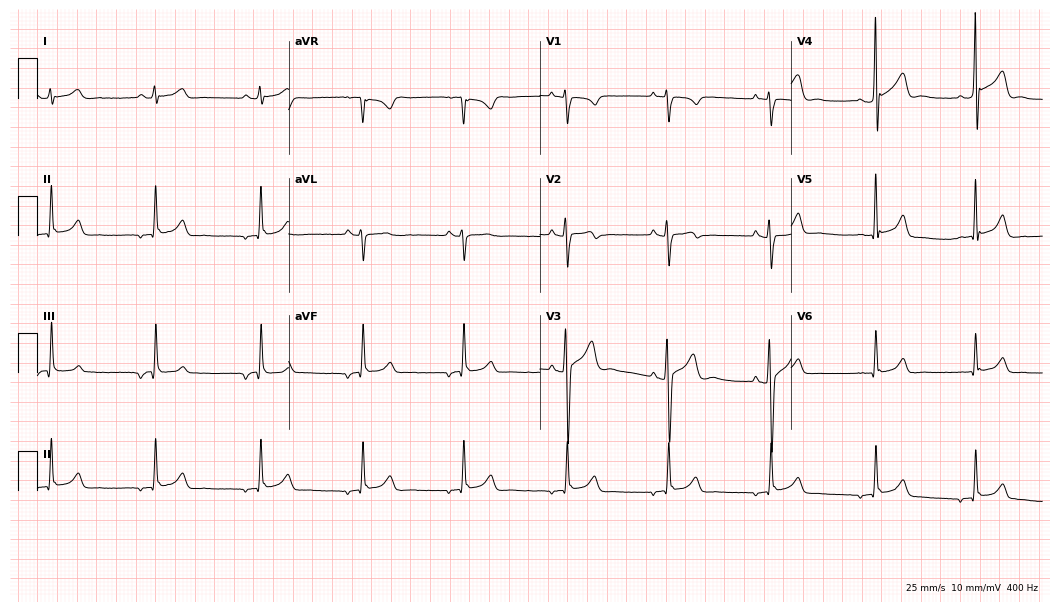
Resting 12-lead electrocardiogram (10.2-second recording at 400 Hz). Patient: a male, 28 years old. None of these six findings is recorded: first-degree AV block, right bundle branch block, left bundle branch block, sinus bradycardia, atrial fibrillation, sinus tachycardia.